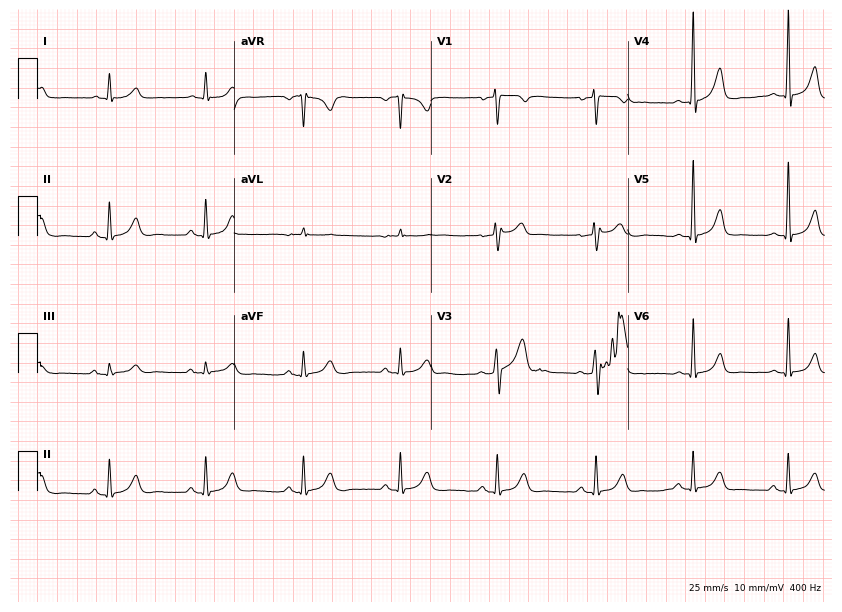
Resting 12-lead electrocardiogram. Patient: a 56-year-old male. None of these six findings is recorded: first-degree AV block, right bundle branch block, left bundle branch block, sinus bradycardia, atrial fibrillation, sinus tachycardia. Findings outside these six are not listed.